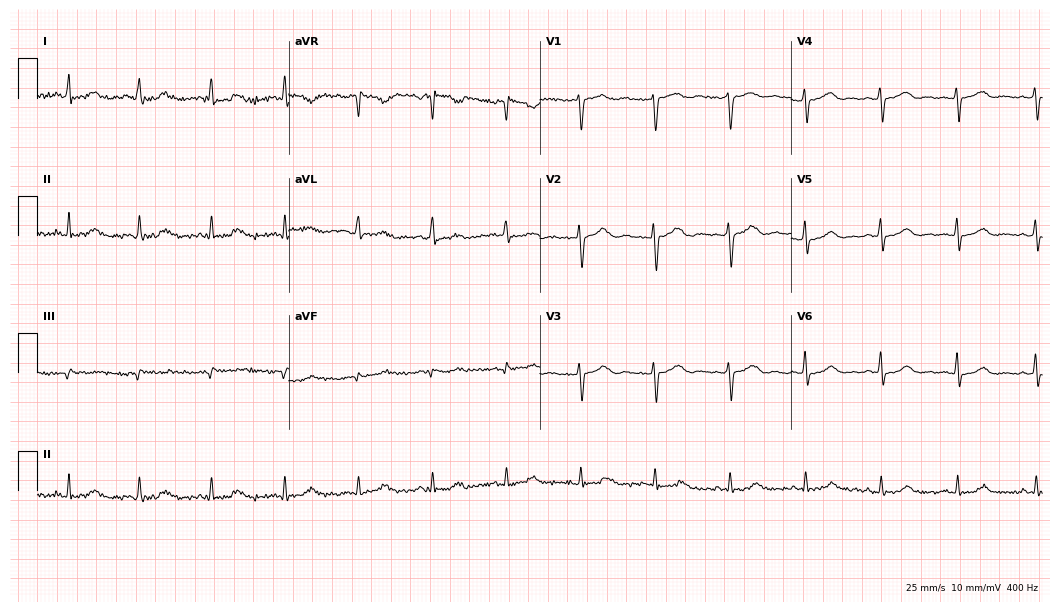
Electrocardiogram (10.2-second recording at 400 Hz), a male patient, 62 years old. Overall reading on record: normal ECG.